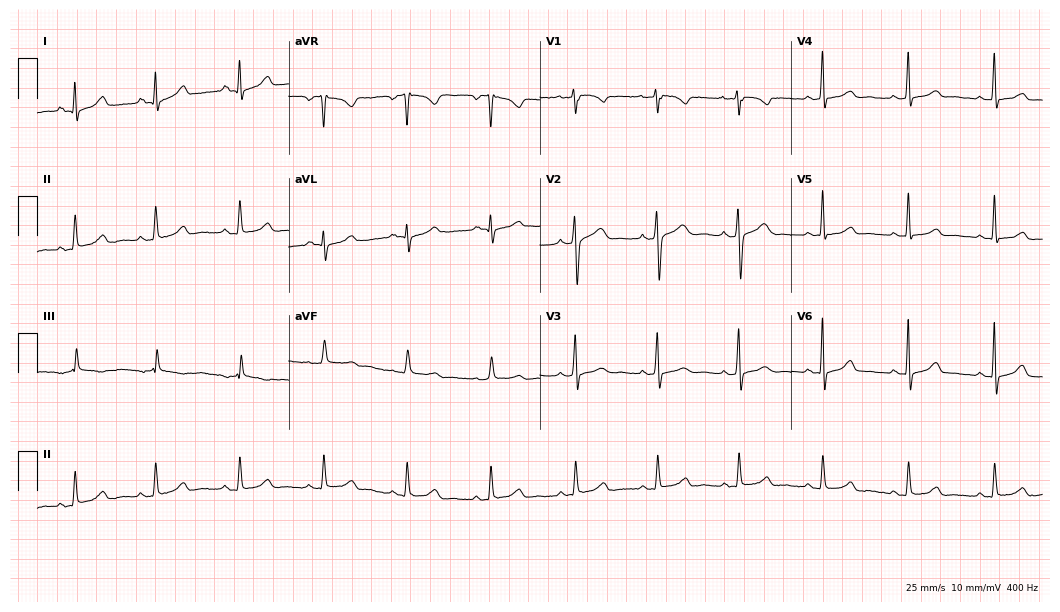
Resting 12-lead electrocardiogram. Patient: a female, 35 years old. Read as a normal ECG.